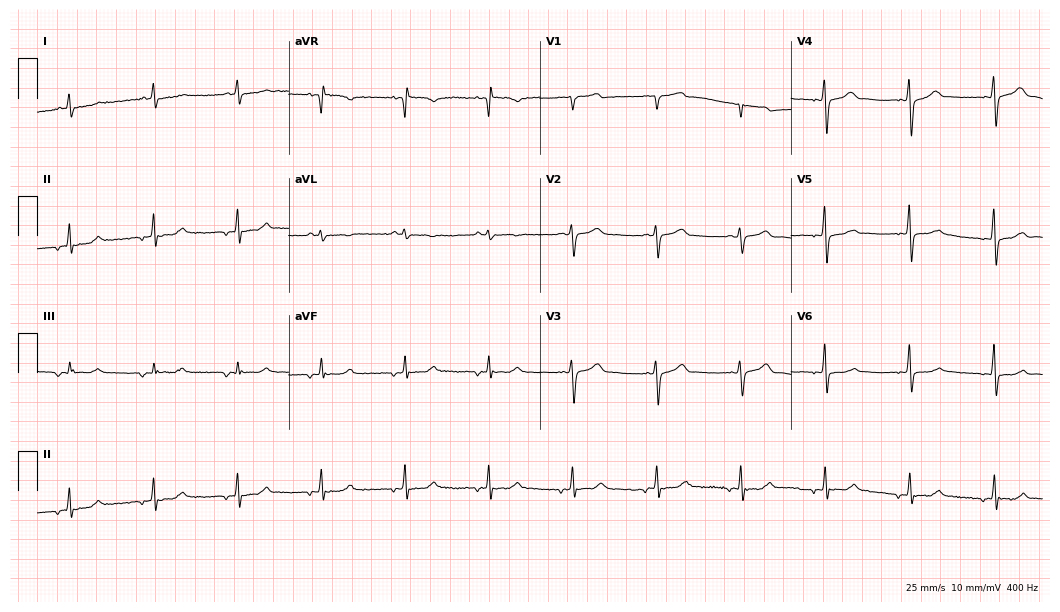
Electrocardiogram, a female, 63 years old. Of the six screened findings (first-degree AV block, right bundle branch block, left bundle branch block, sinus bradycardia, atrial fibrillation, sinus tachycardia), none is recorded. Findings outside these six are not listed.